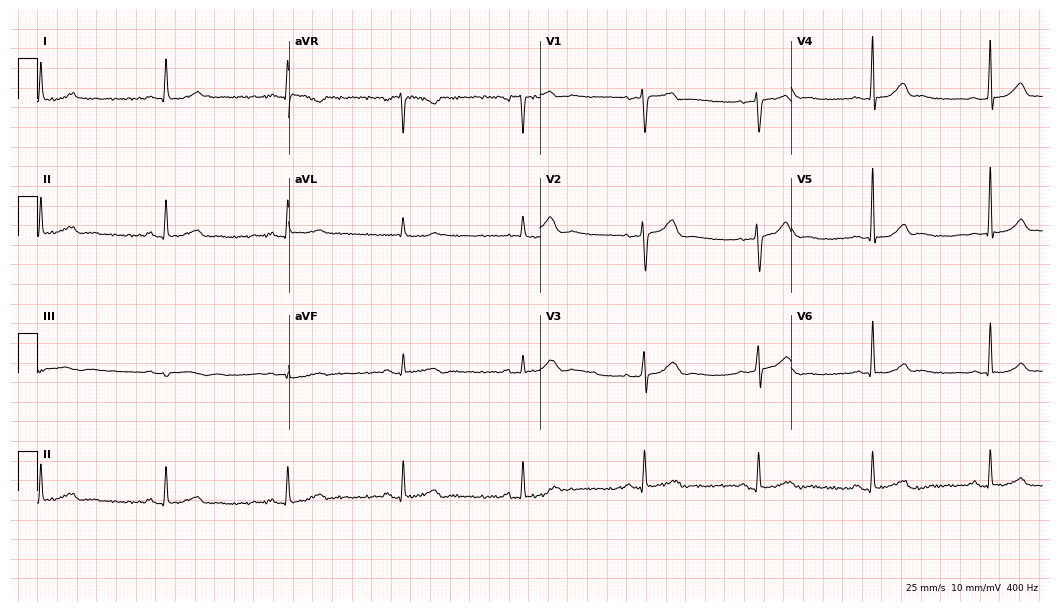
Standard 12-lead ECG recorded from a female, 53 years old. None of these six findings is recorded: first-degree AV block, right bundle branch block, left bundle branch block, sinus bradycardia, atrial fibrillation, sinus tachycardia.